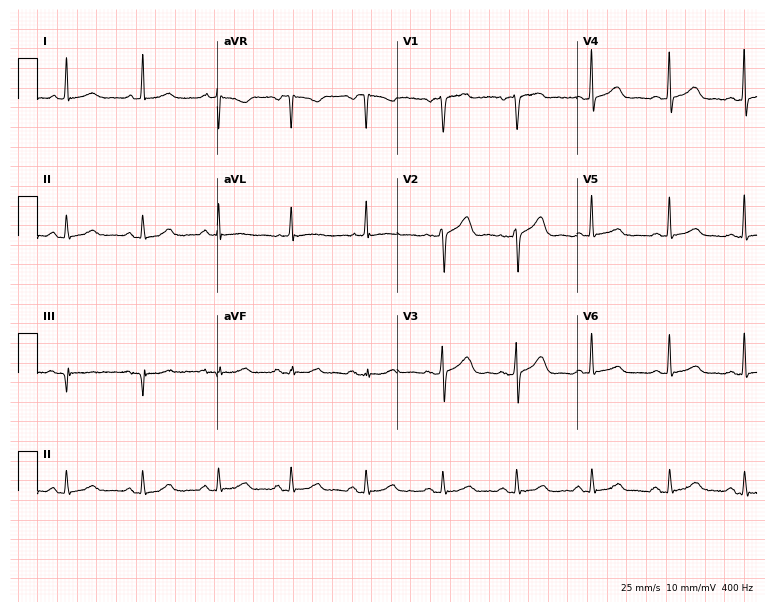
Standard 12-lead ECG recorded from a woman, 58 years old. None of these six findings is recorded: first-degree AV block, right bundle branch block, left bundle branch block, sinus bradycardia, atrial fibrillation, sinus tachycardia.